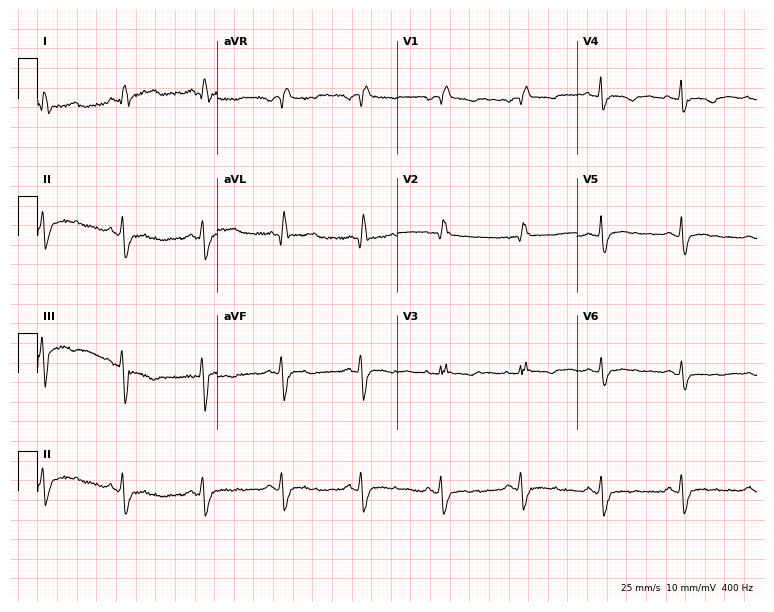
Resting 12-lead electrocardiogram (7.3-second recording at 400 Hz). Patient: a 36-year-old female. The tracing shows right bundle branch block.